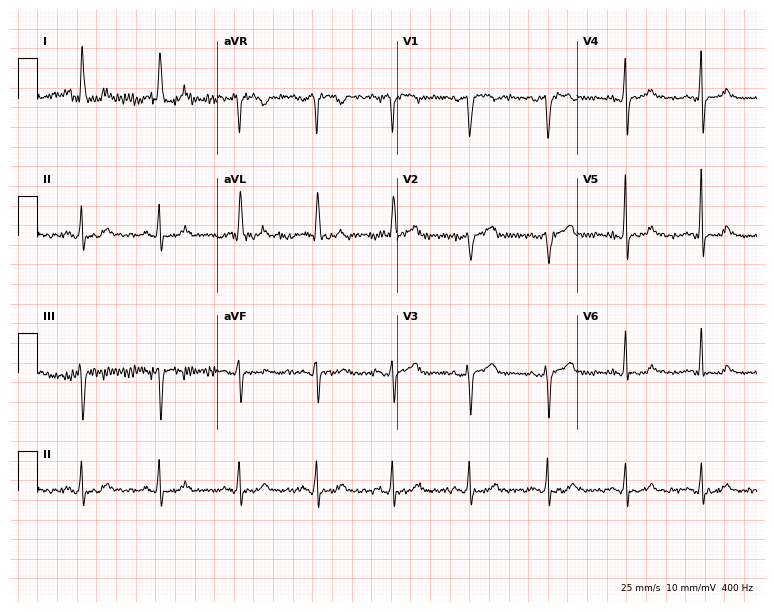
Resting 12-lead electrocardiogram (7.3-second recording at 400 Hz). Patient: a woman, 58 years old. None of these six findings is recorded: first-degree AV block, right bundle branch block, left bundle branch block, sinus bradycardia, atrial fibrillation, sinus tachycardia.